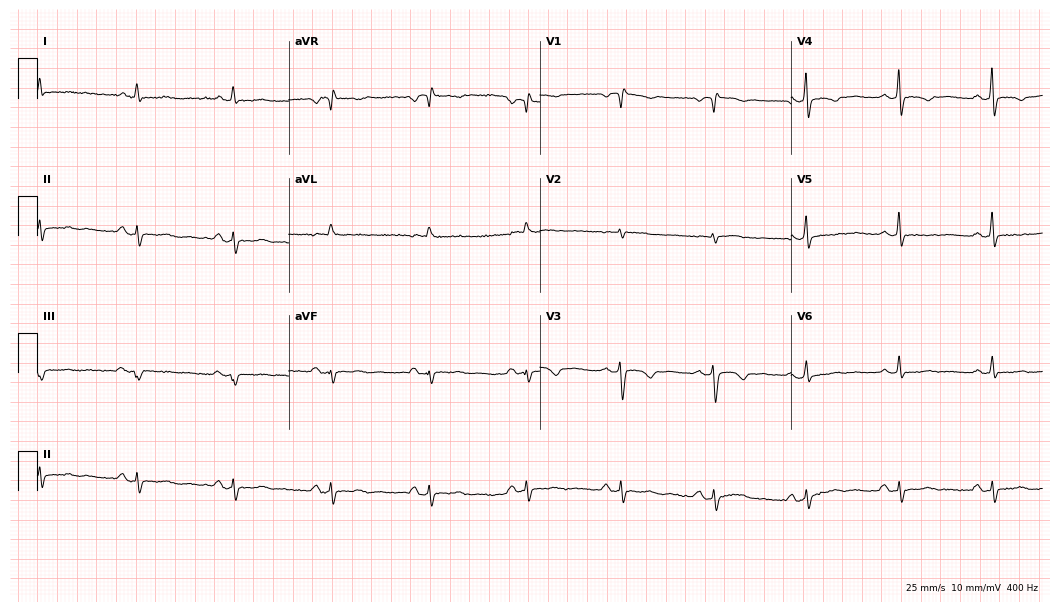
Electrocardiogram (10.2-second recording at 400 Hz), a female, 43 years old. Of the six screened findings (first-degree AV block, right bundle branch block (RBBB), left bundle branch block (LBBB), sinus bradycardia, atrial fibrillation (AF), sinus tachycardia), none is recorded. Only these six findings were labelled.